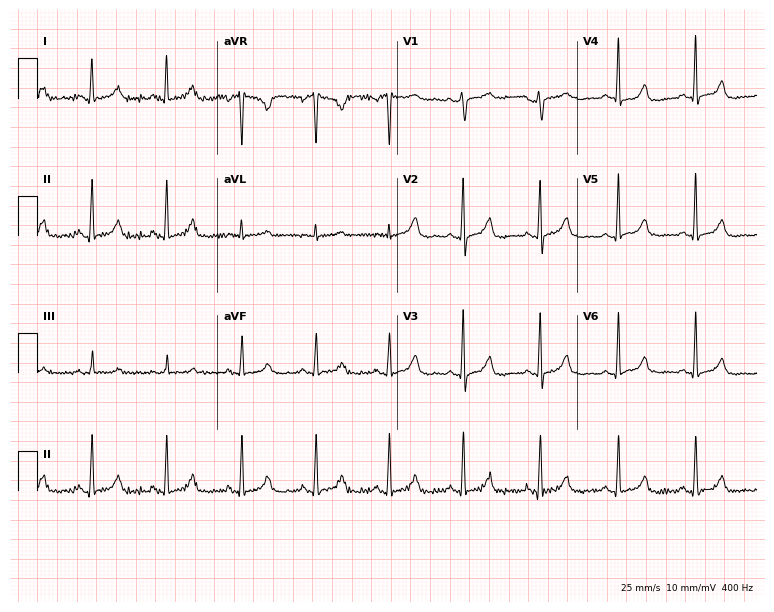
ECG (7.3-second recording at 400 Hz) — a 49-year-old female patient. Labelled as a normal ECG.